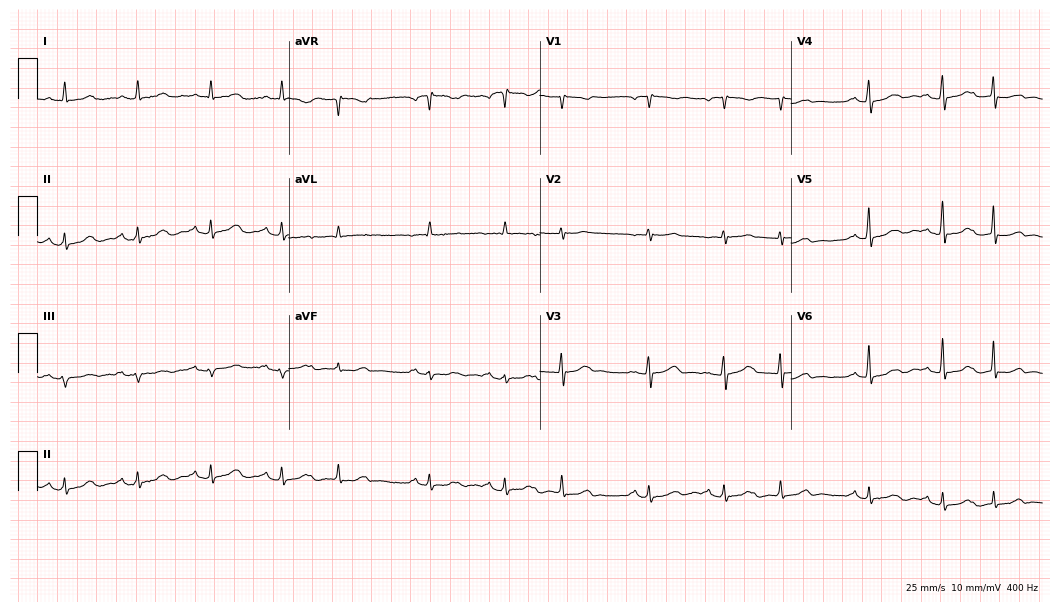
Standard 12-lead ECG recorded from an 82-year-old woman (10.2-second recording at 400 Hz). None of these six findings is recorded: first-degree AV block, right bundle branch block (RBBB), left bundle branch block (LBBB), sinus bradycardia, atrial fibrillation (AF), sinus tachycardia. Findings outside these six are not listed.